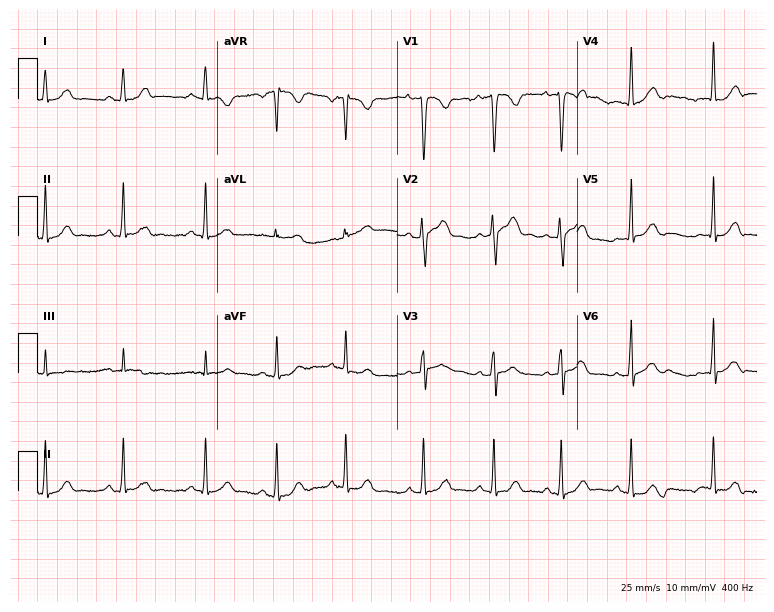
Standard 12-lead ECG recorded from a 17-year-old woman (7.3-second recording at 400 Hz). Read as a normal ECG.